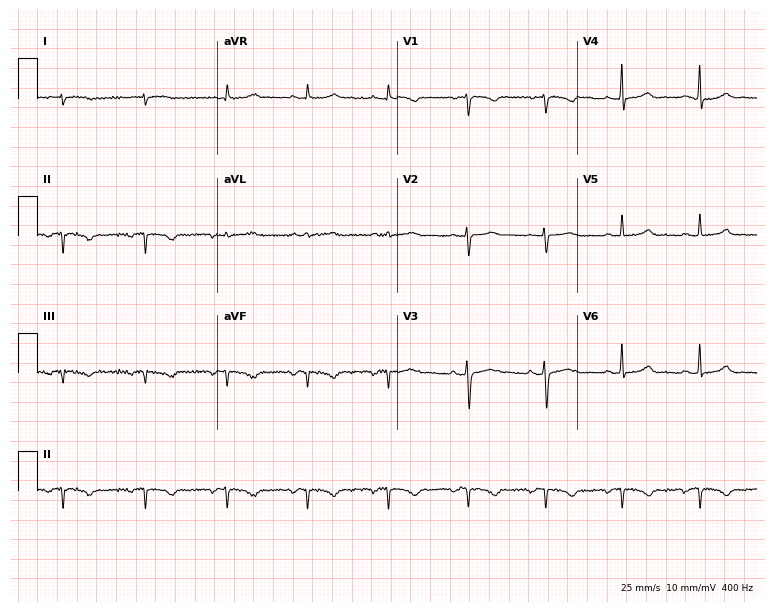
Standard 12-lead ECG recorded from a female patient, 39 years old. None of these six findings is recorded: first-degree AV block, right bundle branch block, left bundle branch block, sinus bradycardia, atrial fibrillation, sinus tachycardia.